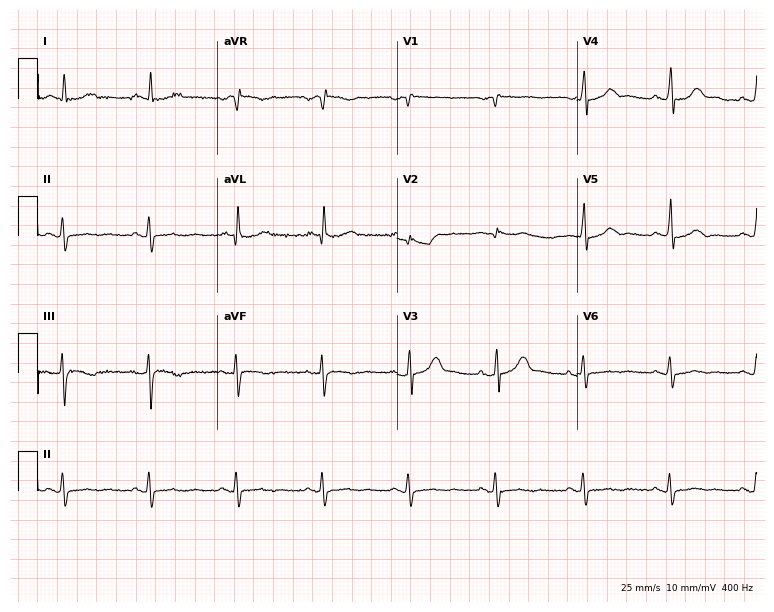
12-lead ECG from a male, 77 years old (7.3-second recording at 400 Hz). Recorded interpretation: within normal limits.